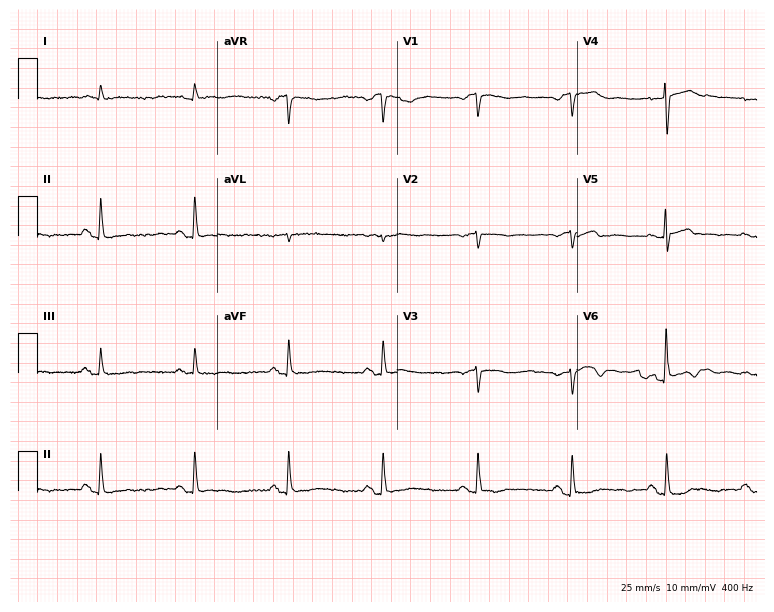
Standard 12-lead ECG recorded from an 82-year-old male patient (7.3-second recording at 400 Hz). Read as a normal ECG.